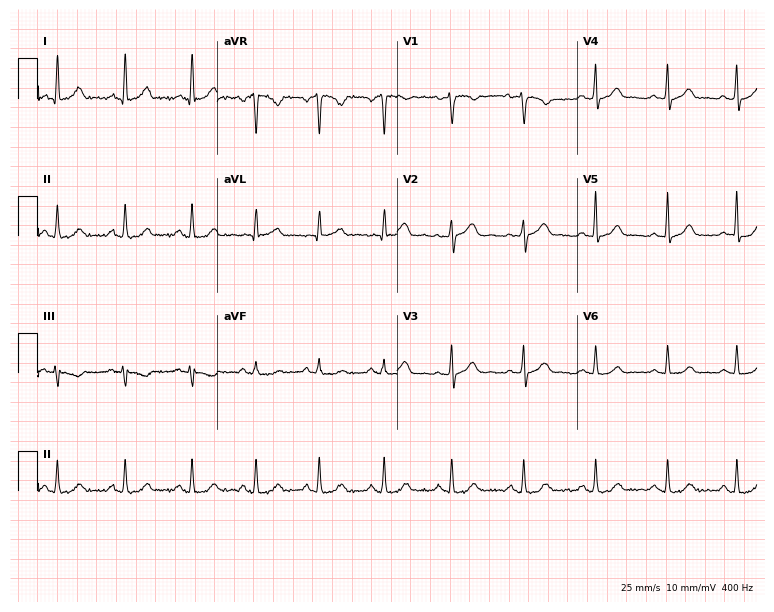
Resting 12-lead electrocardiogram (7.3-second recording at 400 Hz). Patient: a 47-year-old female. Read as a normal ECG.